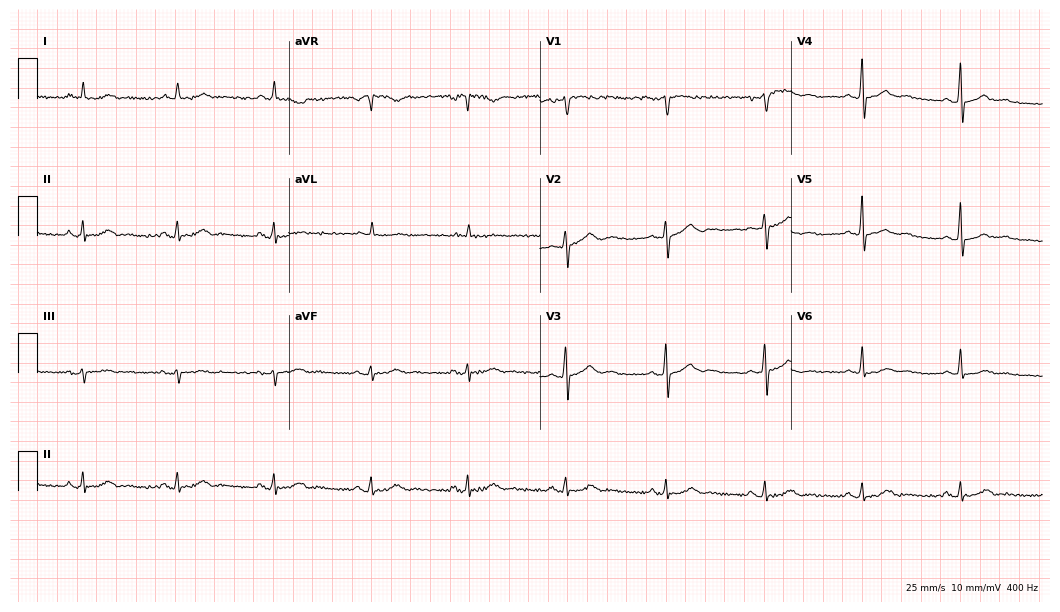
ECG (10.2-second recording at 400 Hz) — a 57-year-old male. Labelled as a normal ECG.